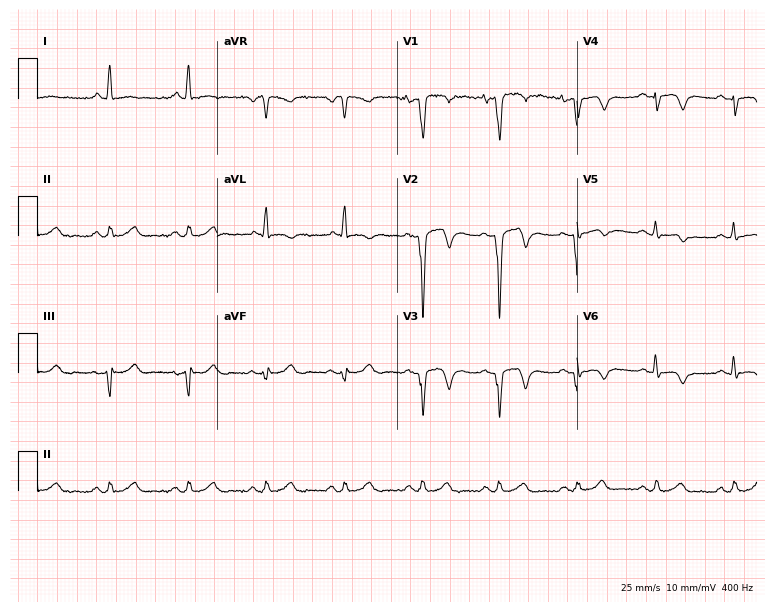
Standard 12-lead ECG recorded from a male patient, 67 years old (7.3-second recording at 400 Hz). None of these six findings is recorded: first-degree AV block, right bundle branch block (RBBB), left bundle branch block (LBBB), sinus bradycardia, atrial fibrillation (AF), sinus tachycardia.